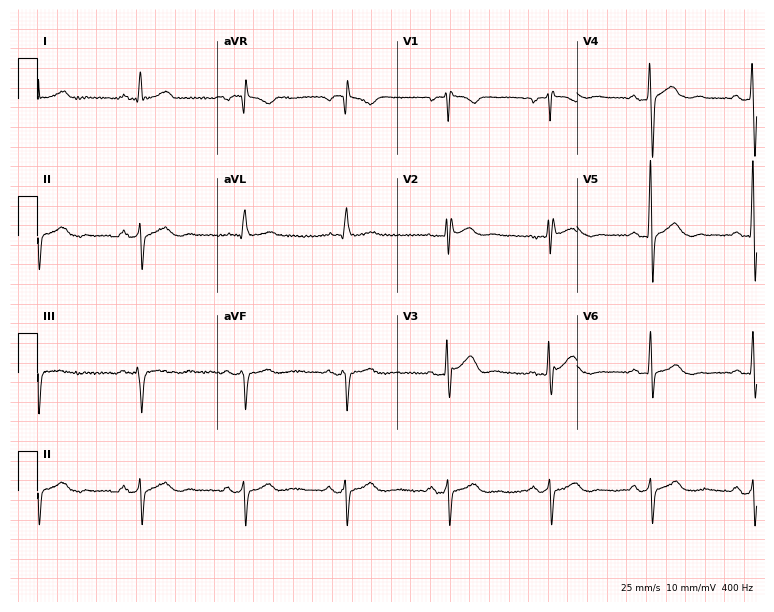
ECG — a man, 78 years old. Screened for six findings — first-degree AV block, right bundle branch block, left bundle branch block, sinus bradycardia, atrial fibrillation, sinus tachycardia — none is recorded. Only these six findings were labelled.